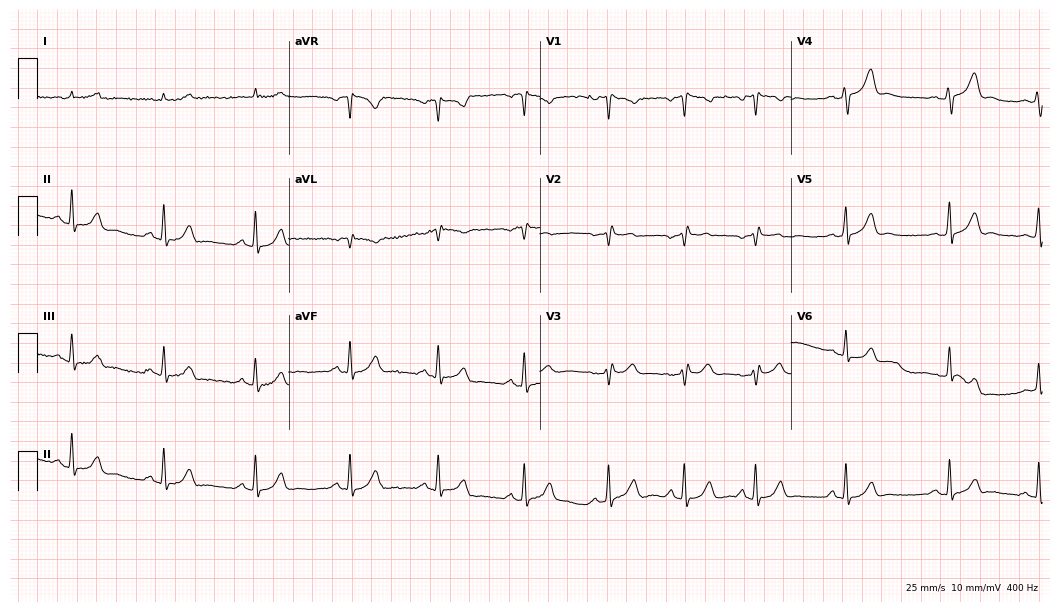
12-lead ECG from a 42-year-old man. No first-degree AV block, right bundle branch block, left bundle branch block, sinus bradycardia, atrial fibrillation or sinus tachycardia recorded for this tracing. Only these six findings were labelled.